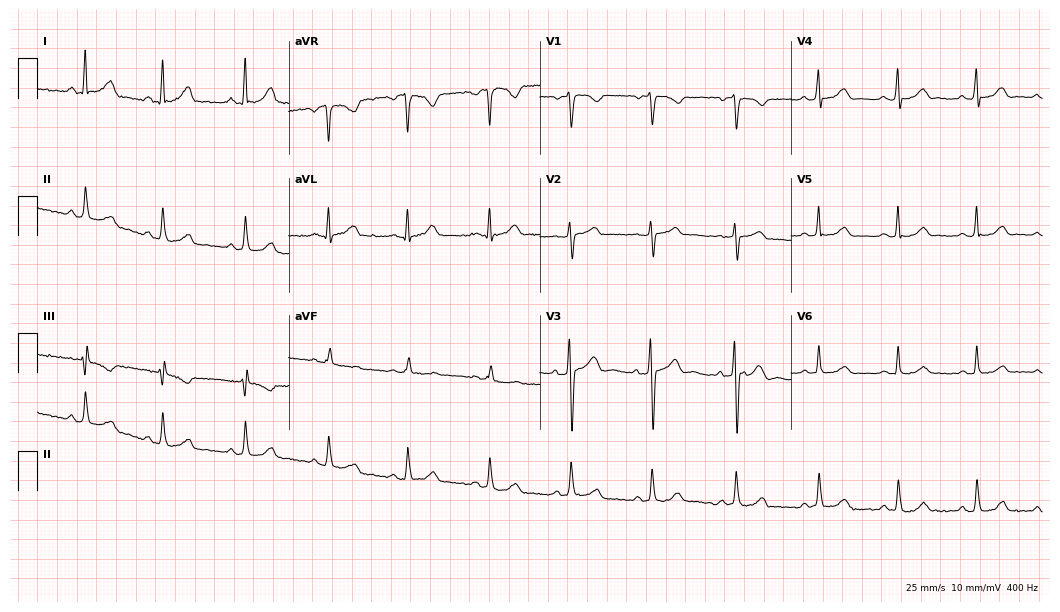
Resting 12-lead electrocardiogram (10.2-second recording at 400 Hz). Patient: a woman, 28 years old. Read as a normal ECG.